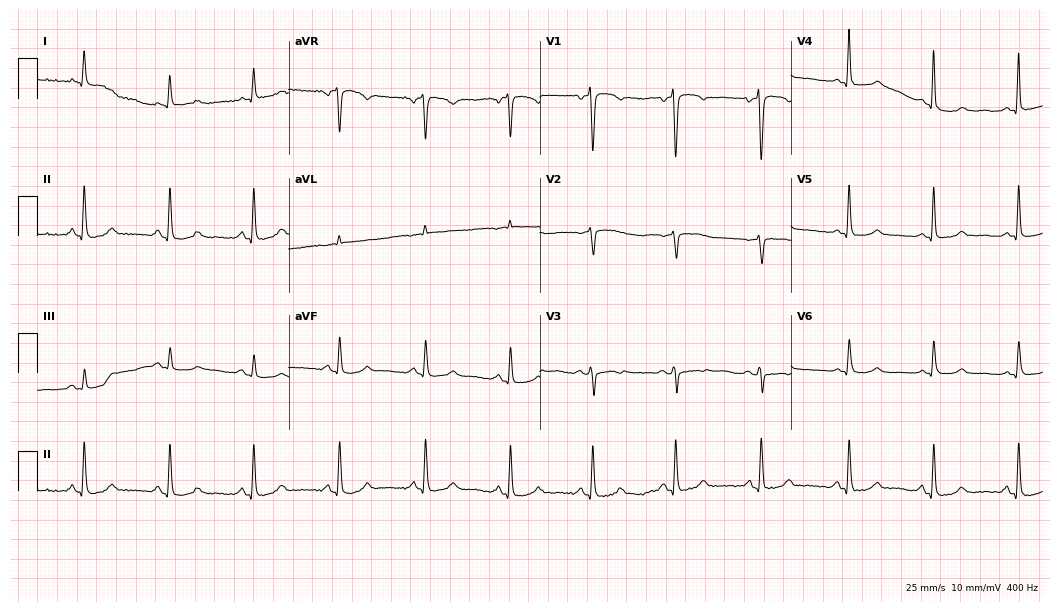
12-lead ECG from a female, 49 years old (10.2-second recording at 400 Hz). No first-degree AV block, right bundle branch block (RBBB), left bundle branch block (LBBB), sinus bradycardia, atrial fibrillation (AF) or sinus tachycardia recorded for this tracing. Other findings, if any, are not listed.